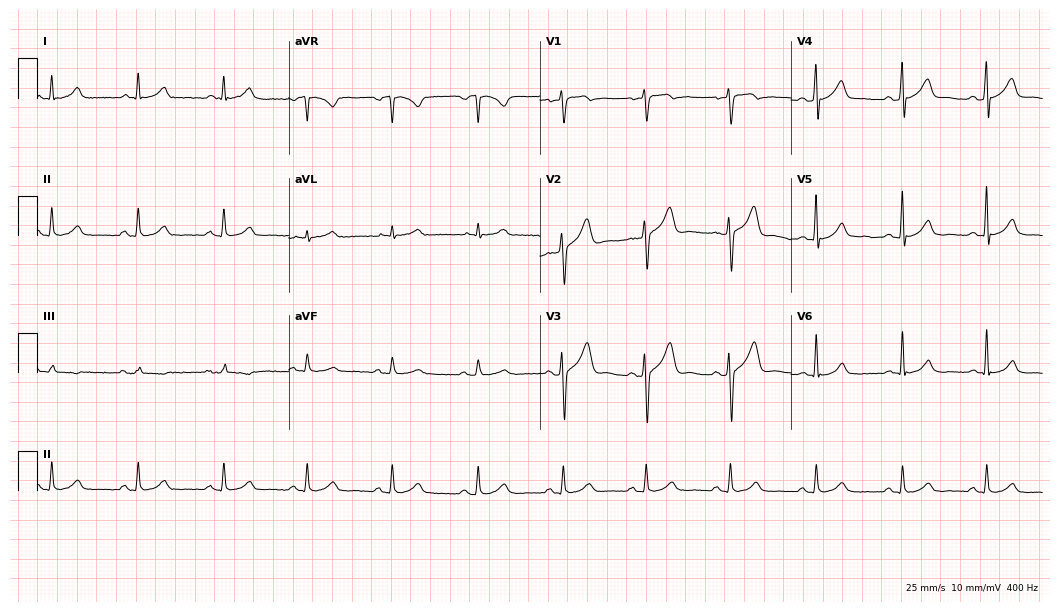
12-lead ECG from a 52-year-old male. Labelled as a normal ECG.